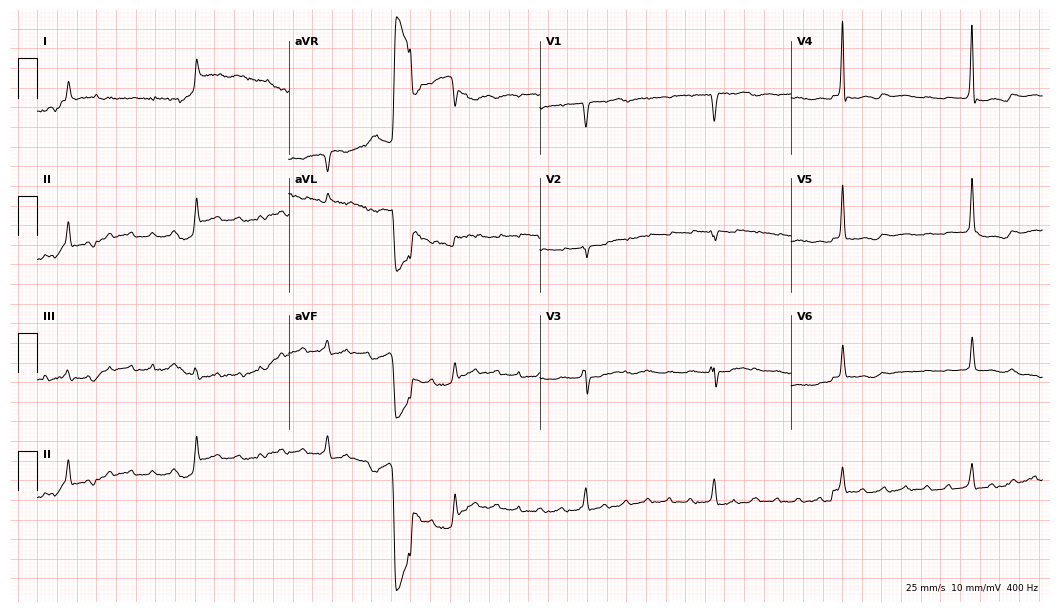
Electrocardiogram, a female, 76 years old. Interpretation includes atrial fibrillation.